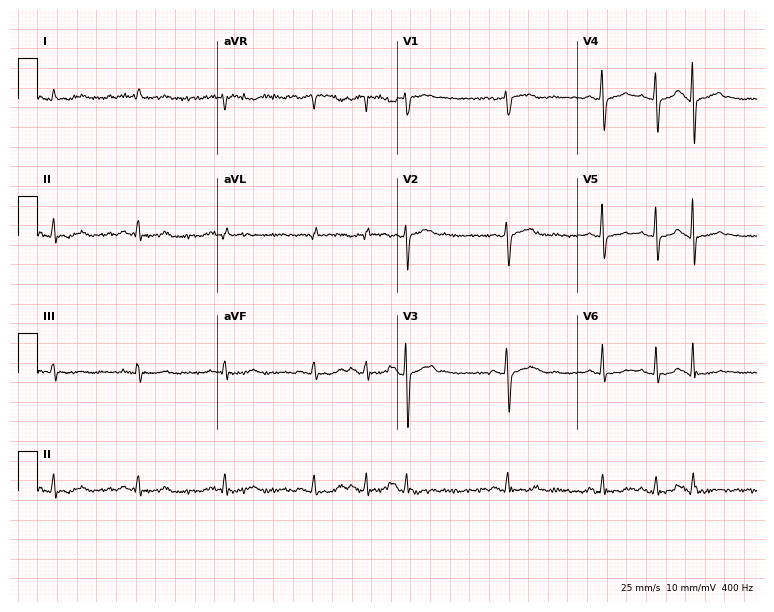
Resting 12-lead electrocardiogram. Patient: a male, 63 years old. None of these six findings is recorded: first-degree AV block, right bundle branch block, left bundle branch block, sinus bradycardia, atrial fibrillation, sinus tachycardia. Other findings, if any, are not listed.